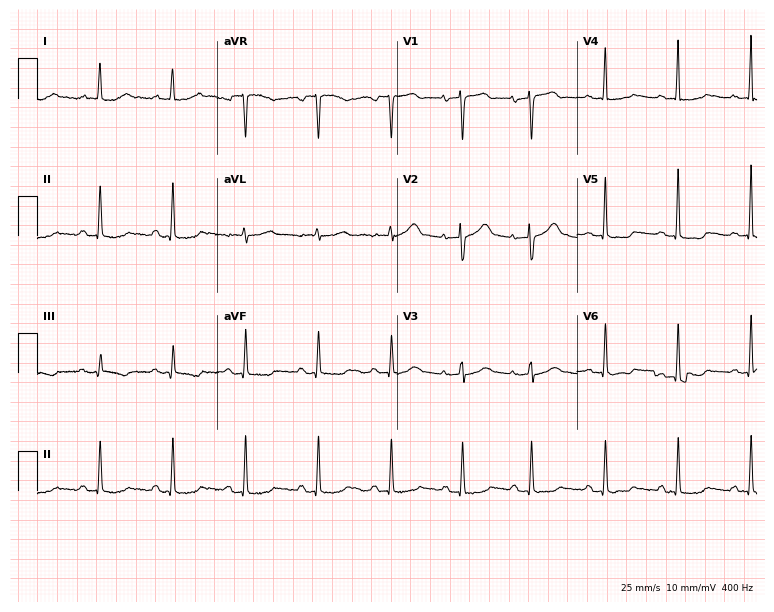
Resting 12-lead electrocardiogram. Patient: an 81-year-old woman. None of these six findings is recorded: first-degree AV block, right bundle branch block, left bundle branch block, sinus bradycardia, atrial fibrillation, sinus tachycardia. Findings outside these six are not listed.